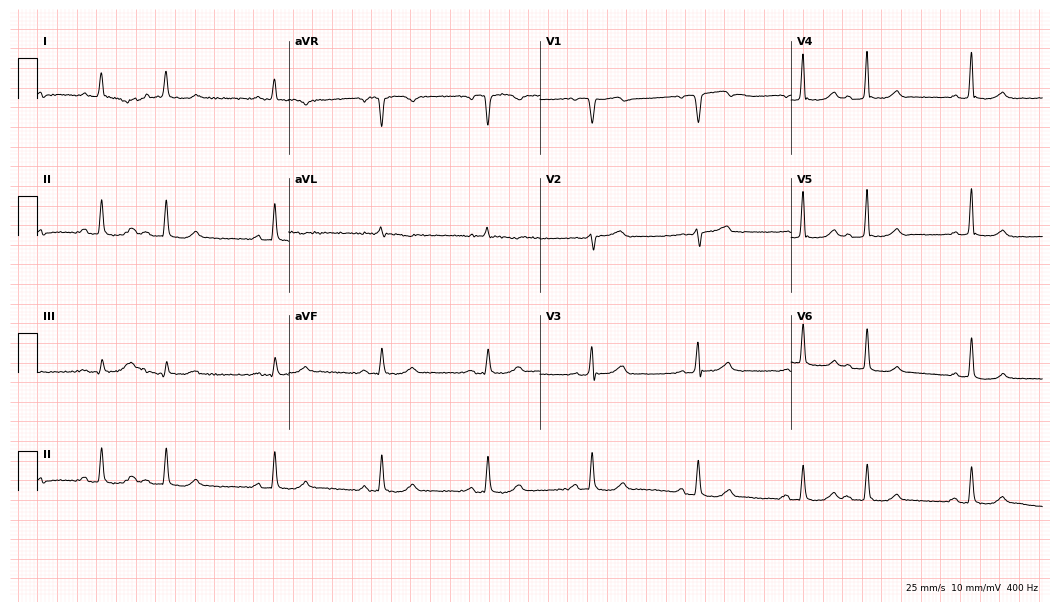
ECG (10.2-second recording at 400 Hz) — a male patient, 80 years old. Screened for six findings — first-degree AV block, right bundle branch block, left bundle branch block, sinus bradycardia, atrial fibrillation, sinus tachycardia — none is recorded.